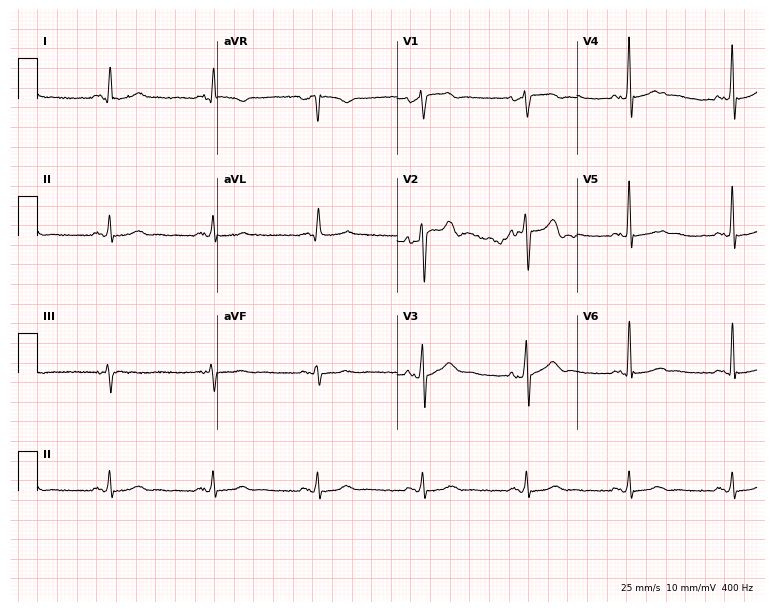
12-lead ECG (7.3-second recording at 400 Hz) from a man, 62 years old. Screened for six findings — first-degree AV block, right bundle branch block (RBBB), left bundle branch block (LBBB), sinus bradycardia, atrial fibrillation (AF), sinus tachycardia — none is recorded. Findings outside these six are not listed.